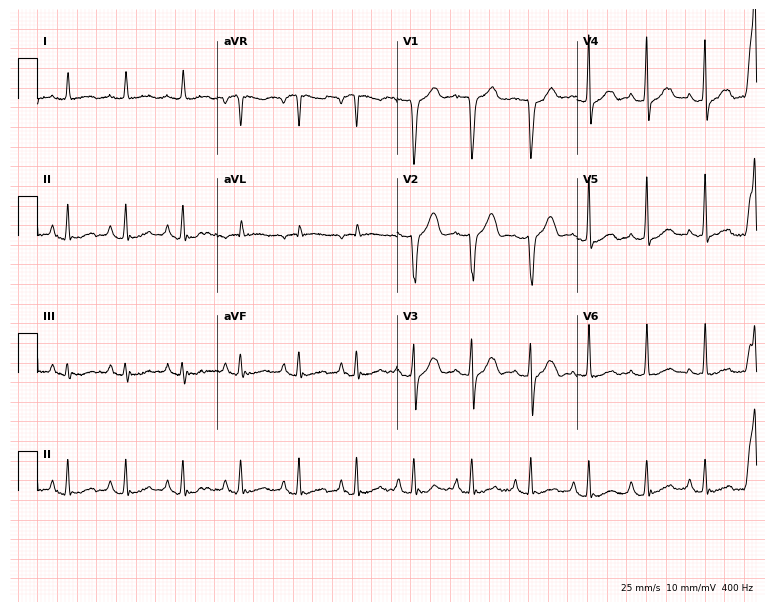
Standard 12-lead ECG recorded from a man, 71 years old (7.3-second recording at 400 Hz). None of these six findings is recorded: first-degree AV block, right bundle branch block (RBBB), left bundle branch block (LBBB), sinus bradycardia, atrial fibrillation (AF), sinus tachycardia. Findings outside these six are not listed.